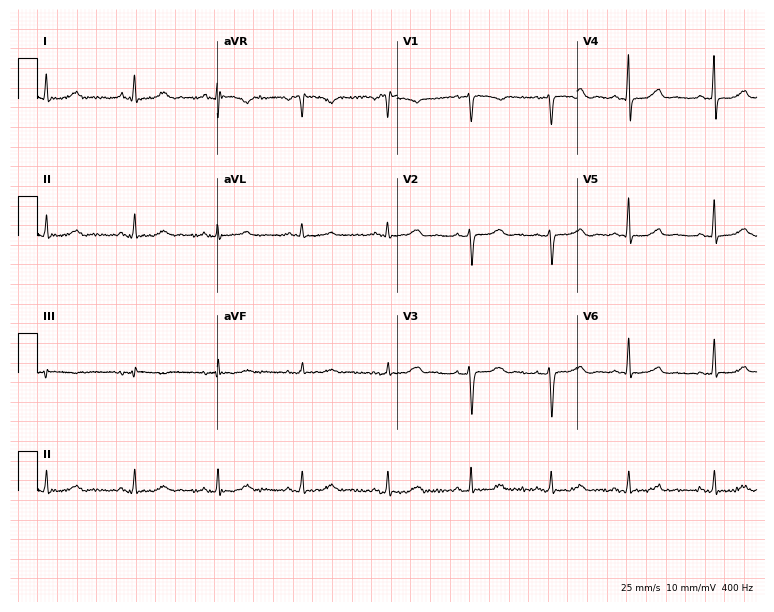
Standard 12-lead ECG recorded from a 53-year-old woman. Read as a normal ECG.